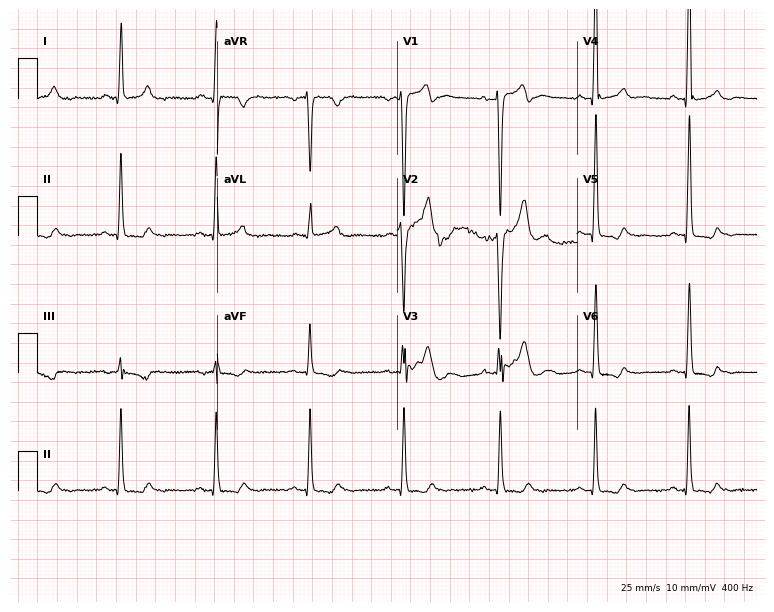
Electrocardiogram, a male, 45 years old. Of the six screened findings (first-degree AV block, right bundle branch block (RBBB), left bundle branch block (LBBB), sinus bradycardia, atrial fibrillation (AF), sinus tachycardia), none is recorded. Other findings, if any, are not listed.